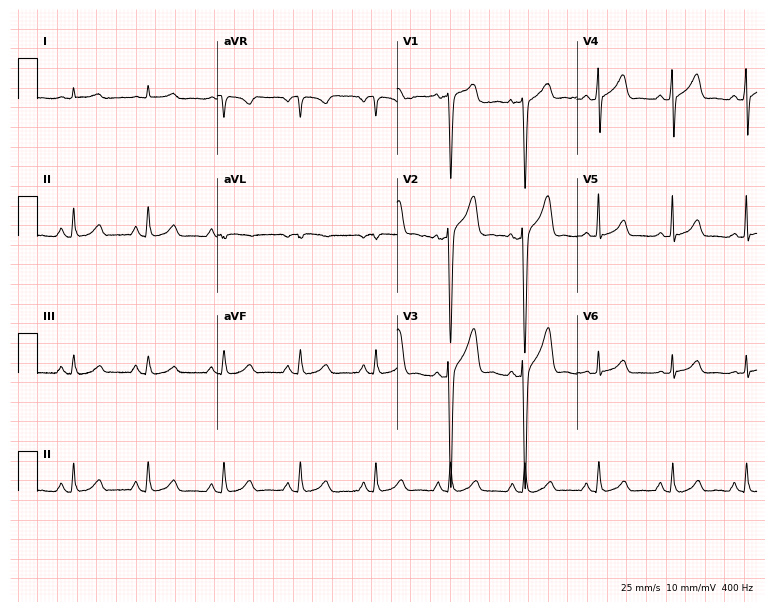
12-lead ECG from a 53-year-old male. No first-degree AV block, right bundle branch block (RBBB), left bundle branch block (LBBB), sinus bradycardia, atrial fibrillation (AF) or sinus tachycardia recorded for this tracing.